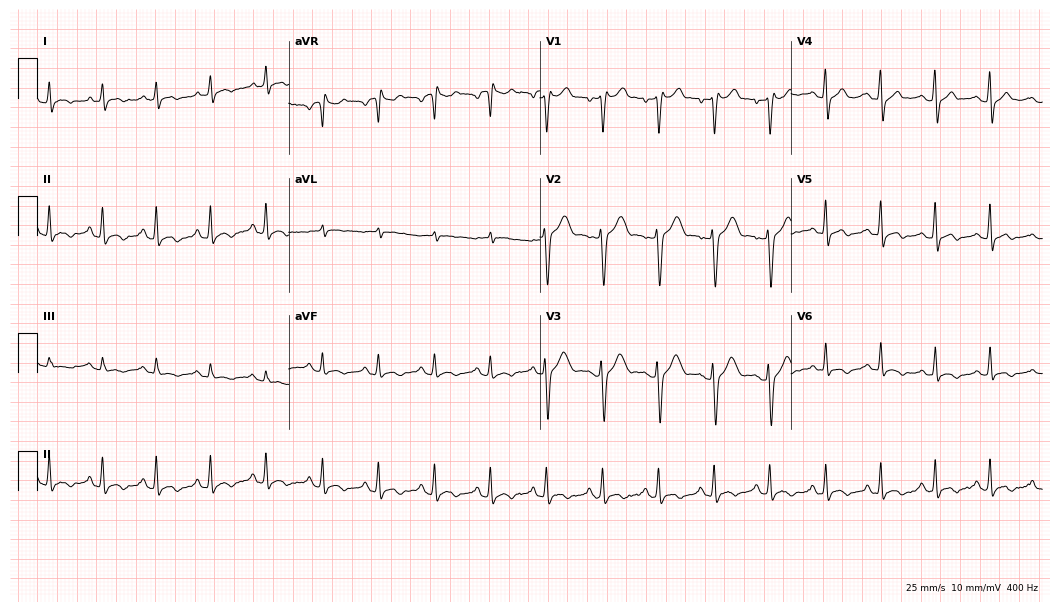
12-lead ECG (10.2-second recording at 400 Hz) from a man, 32 years old. Screened for six findings — first-degree AV block, right bundle branch block, left bundle branch block, sinus bradycardia, atrial fibrillation, sinus tachycardia — none is recorded. Other findings, if any, are not listed.